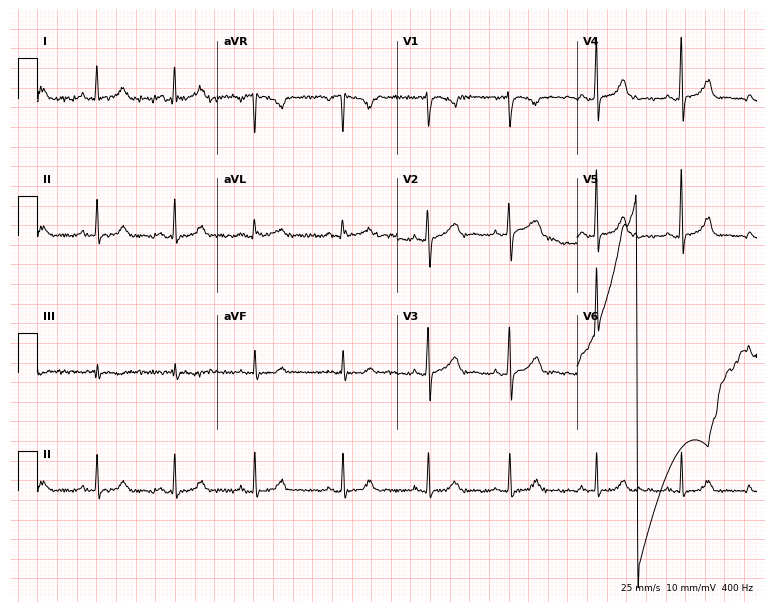
12-lead ECG (7.3-second recording at 400 Hz) from a 39-year-old female patient. Labelled as a normal ECG.